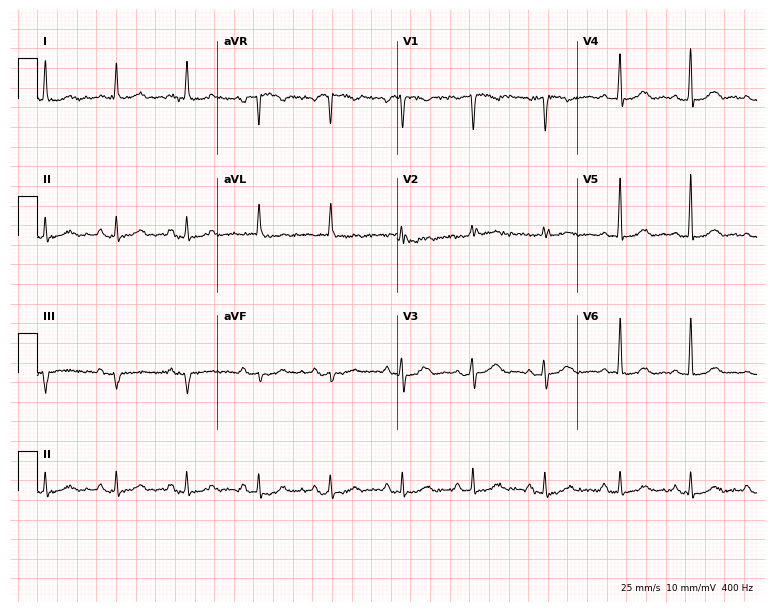
Resting 12-lead electrocardiogram (7.3-second recording at 400 Hz). Patient: a 52-year-old woman. Read as a normal ECG.